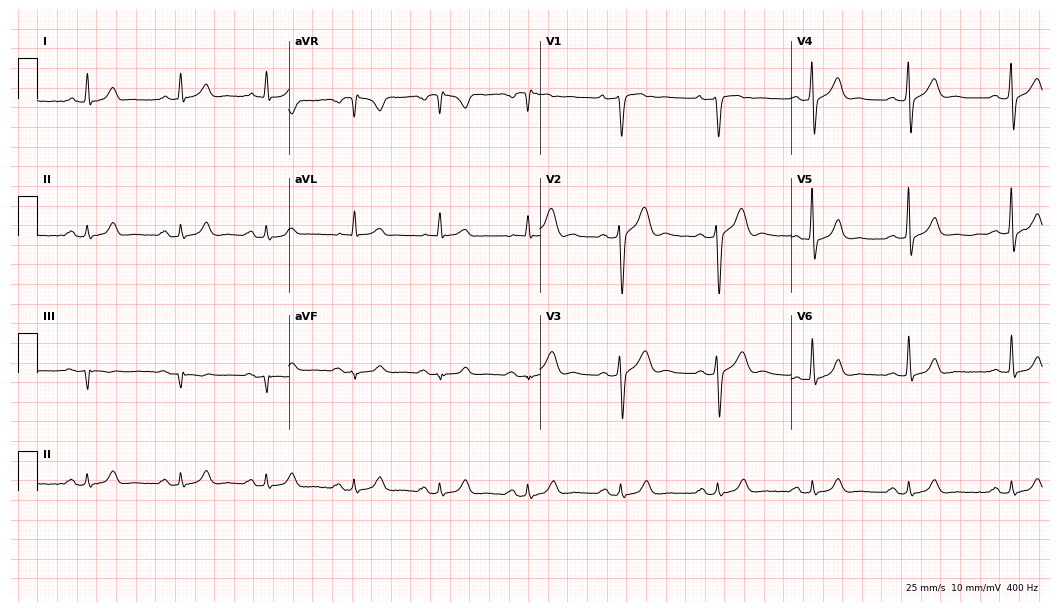
ECG — a man, 40 years old. Screened for six findings — first-degree AV block, right bundle branch block (RBBB), left bundle branch block (LBBB), sinus bradycardia, atrial fibrillation (AF), sinus tachycardia — none is recorded. Other findings, if any, are not listed.